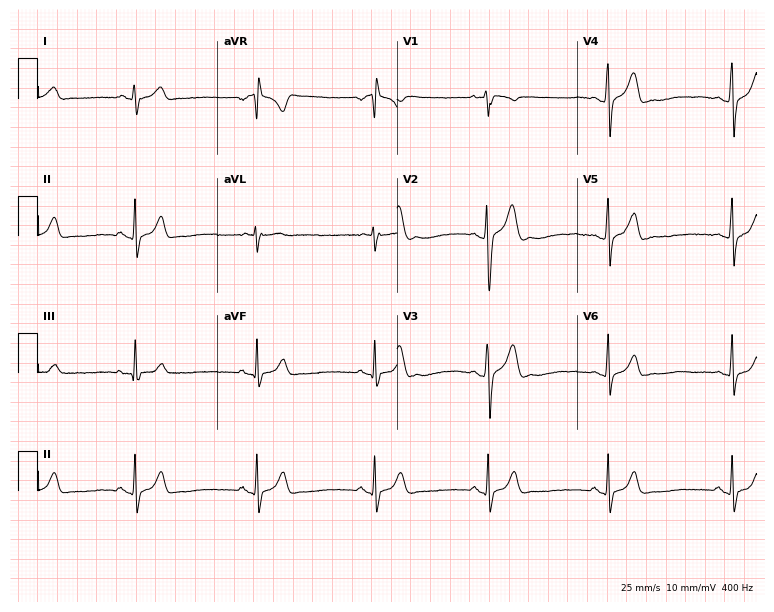
ECG (7.3-second recording at 400 Hz) — a male patient, 24 years old. Findings include sinus bradycardia (a sinus rate of 50 beats per minute or less).